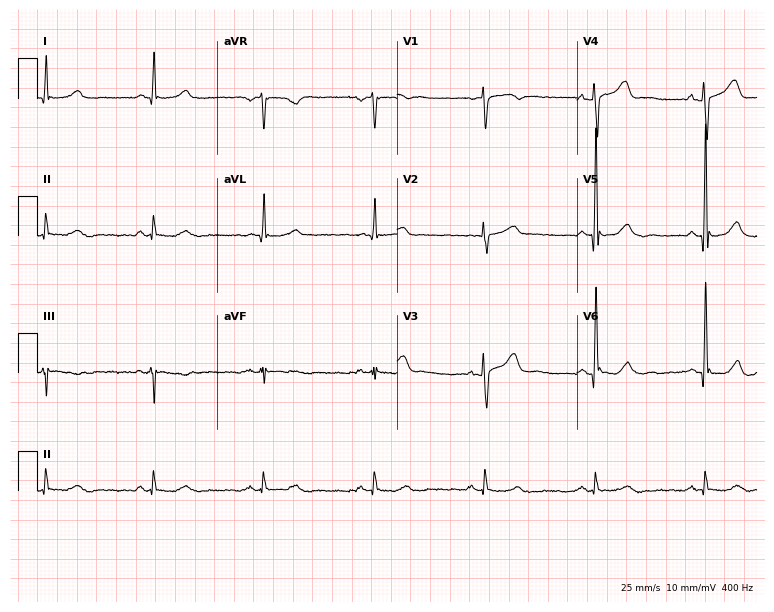
ECG — a man, 71 years old. Screened for six findings — first-degree AV block, right bundle branch block, left bundle branch block, sinus bradycardia, atrial fibrillation, sinus tachycardia — none is recorded. Findings outside these six are not listed.